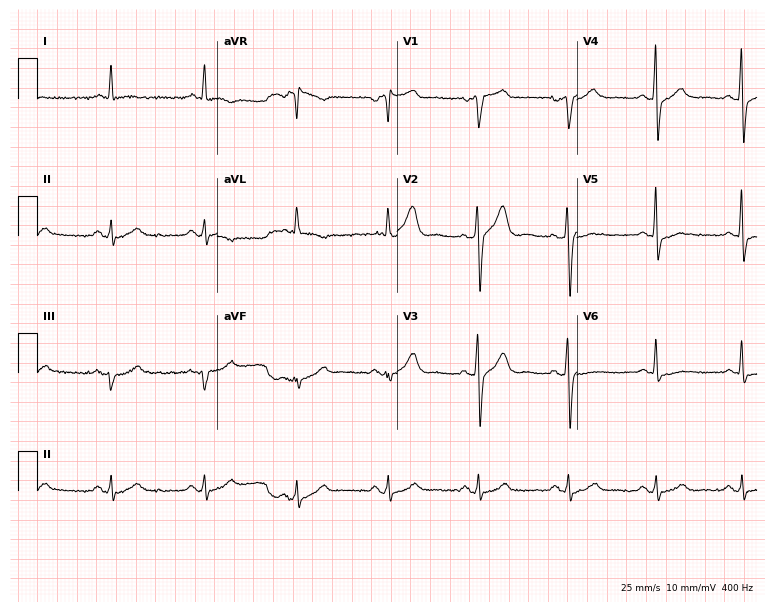
Electrocardiogram, a 68-year-old man. Of the six screened findings (first-degree AV block, right bundle branch block, left bundle branch block, sinus bradycardia, atrial fibrillation, sinus tachycardia), none is recorded. Only these six findings were labelled.